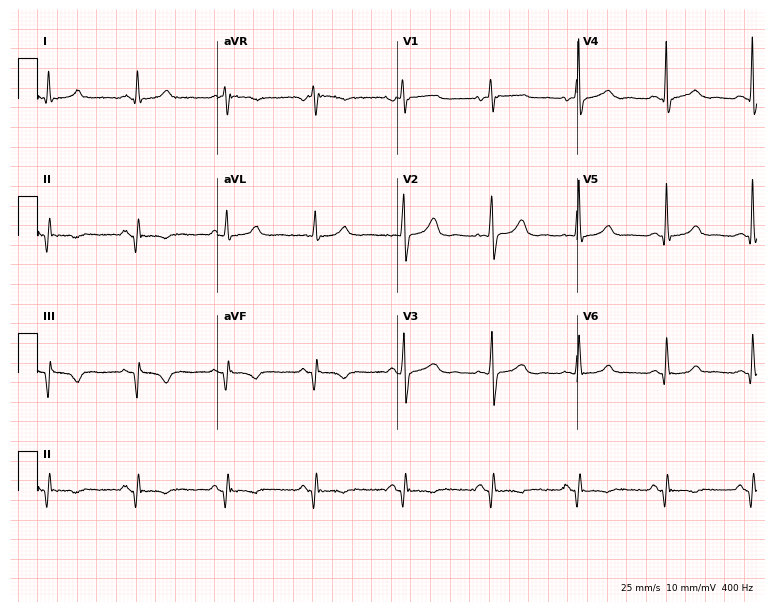
Electrocardiogram (7.3-second recording at 400 Hz), a 51-year-old male patient. Of the six screened findings (first-degree AV block, right bundle branch block, left bundle branch block, sinus bradycardia, atrial fibrillation, sinus tachycardia), none is recorded.